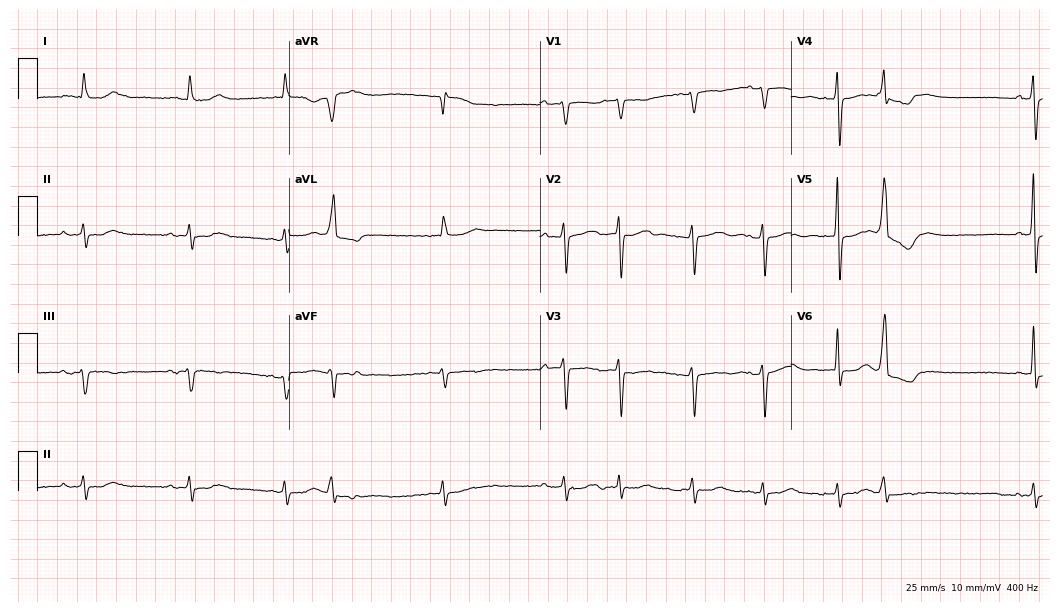
Resting 12-lead electrocardiogram. Patient: an 81-year-old male. None of these six findings is recorded: first-degree AV block, right bundle branch block (RBBB), left bundle branch block (LBBB), sinus bradycardia, atrial fibrillation (AF), sinus tachycardia. Other findings, if any, are not listed.